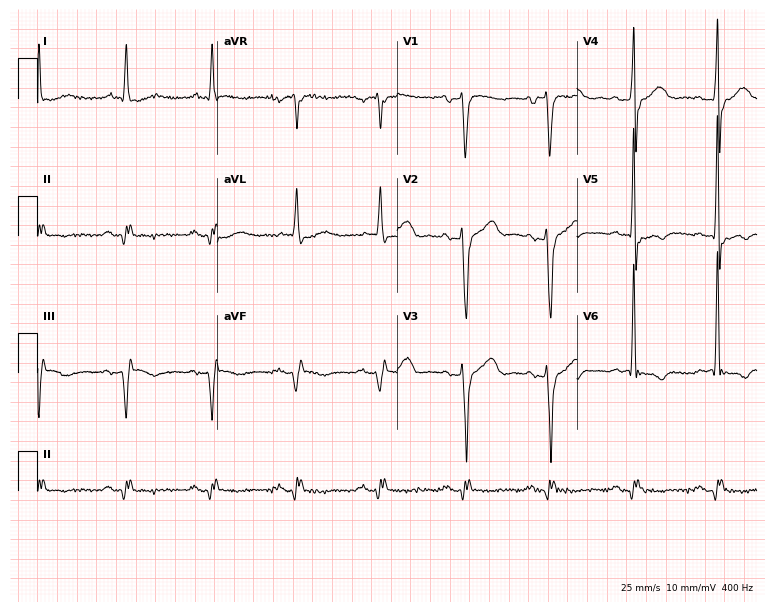
Standard 12-lead ECG recorded from a 60-year-old male (7.3-second recording at 400 Hz). None of these six findings is recorded: first-degree AV block, right bundle branch block (RBBB), left bundle branch block (LBBB), sinus bradycardia, atrial fibrillation (AF), sinus tachycardia.